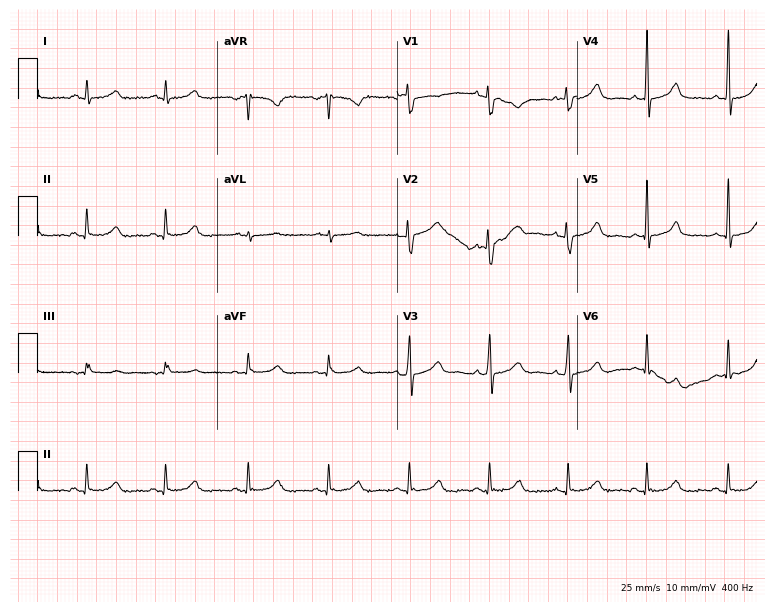
Electrocardiogram (7.3-second recording at 400 Hz), a 49-year-old woman. Overall reading on record: normal ECG.